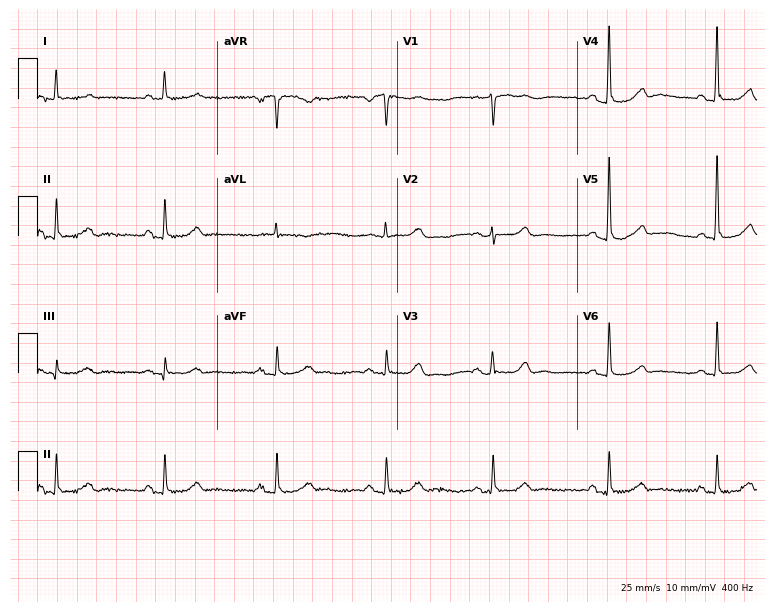
ECG — a 75-year-old woman. Labelled as a normal ECG.